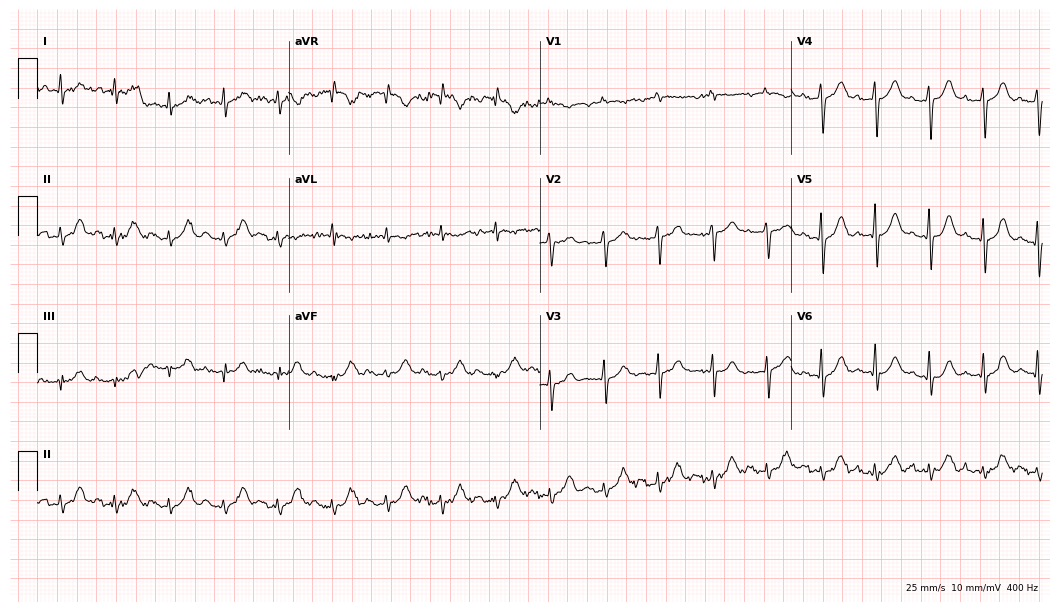
Standard 12-lead ECG recorded from a male patient, 82 years old. The tracing shows sinus tachycardia (a sinus rate of 100 beats per minute or more).